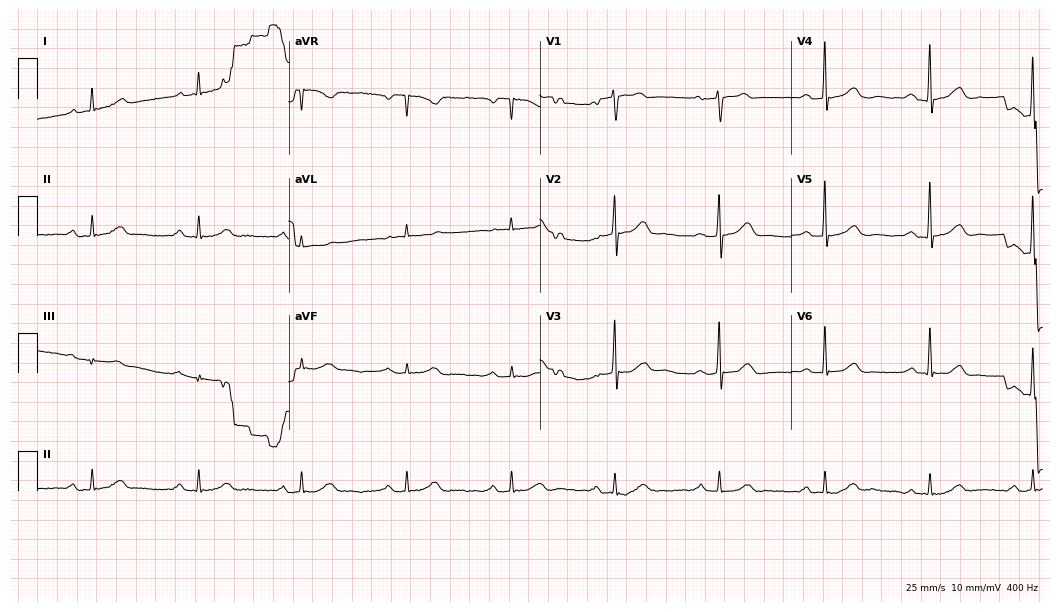
12-lead ECG (10.2-second recording at 400 Hz) from a 49-year-old male. Screened for six findings — first-degree AV block, right bundle branch block (RBBB), left bundle branch block (LBBB), sinus bradycardia, atrial fibrillation (AF), sinus tachycardia — none is recorded.